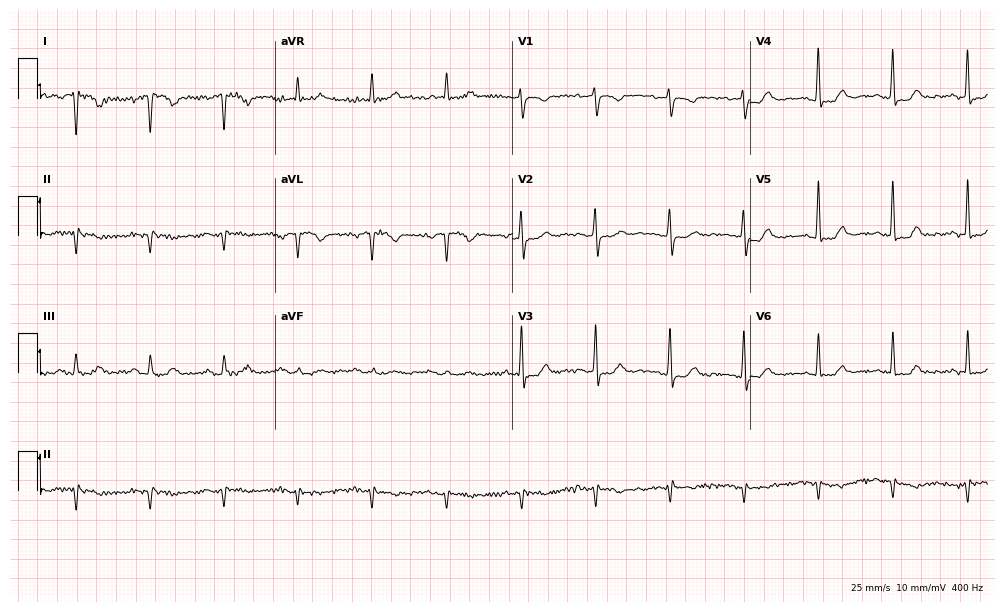
ECG — a 70-year-old female. Screened for six findings — first-degree AV block, right bundle branch block, left bundle branch block, sinus bradycardia, atrial fibrillation, sinus tachycardia — none is recorded. Findings outside these six are not listed.